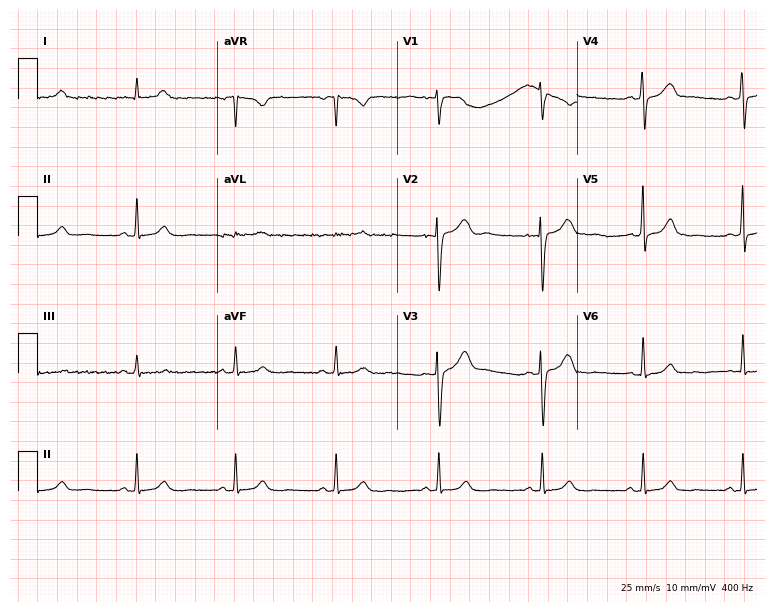
Resting 12-lead electrocardiogram. Patient: a female, 47 years old. Read as a normal ECG.